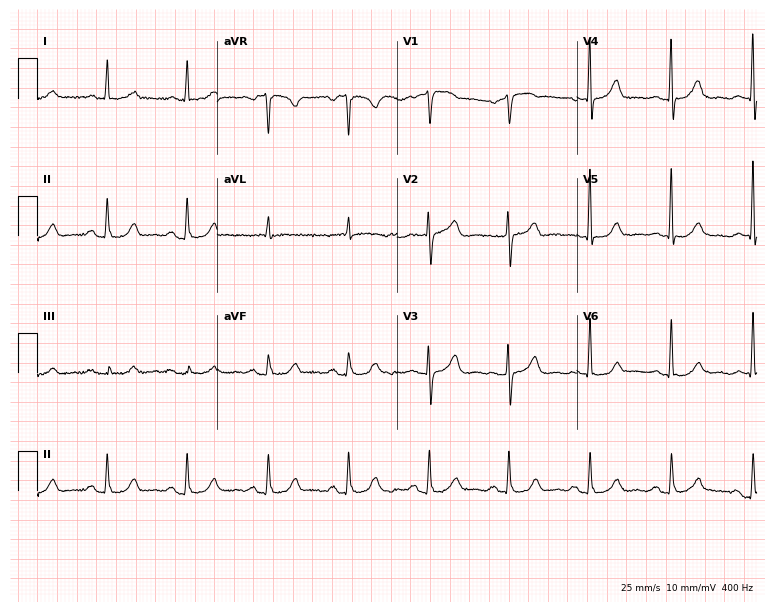
12-lead ECG from a woman, 77 years old. Labelled as a normal ECG.